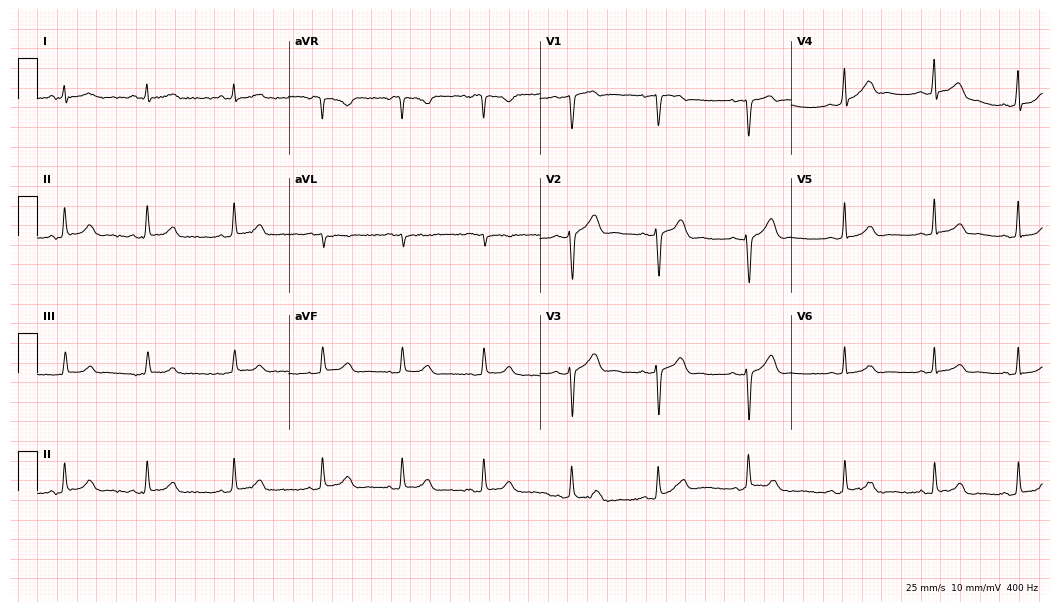
Standard 12-lead ECG recorded from a 21-year-old female. Read as a normal ECG.